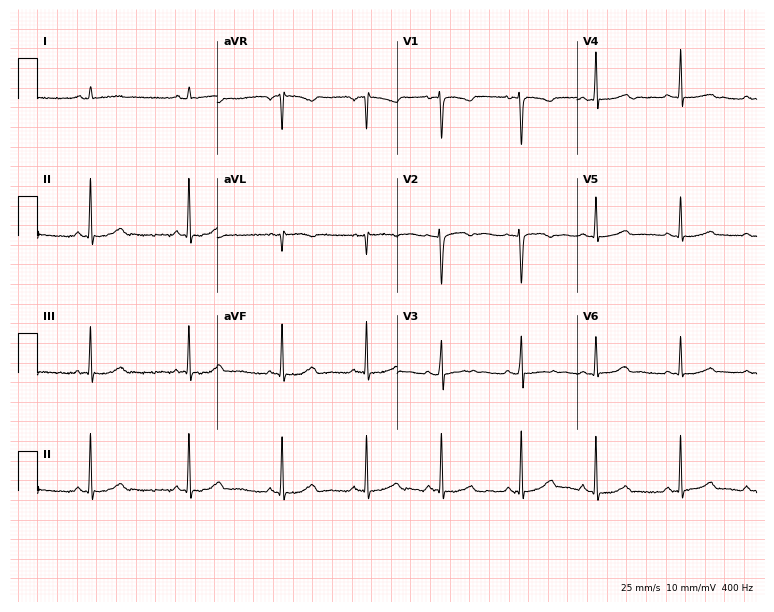
Standard 12-lead ECG recorded from a female, 17 years old (7.3-second recording at 400 Hz). Read as a normal ECG.